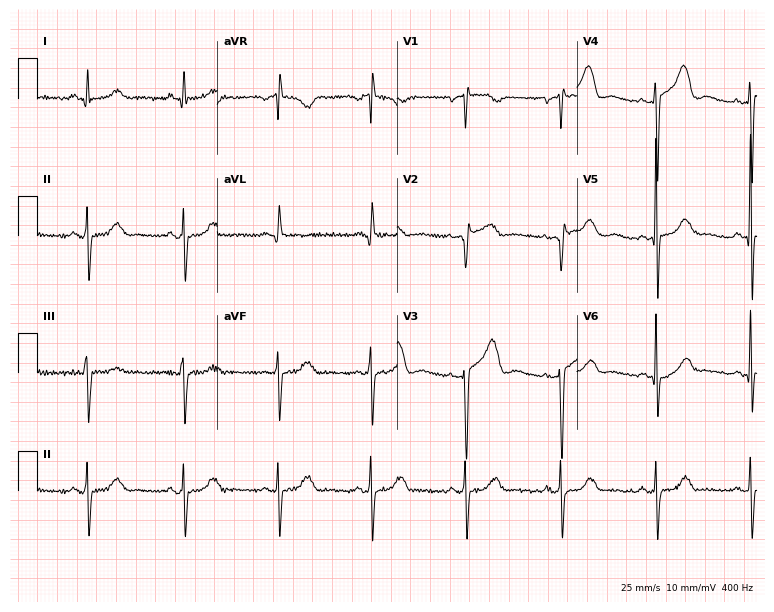
Electrocardiogram (7.3-second recording at 400 Hz), a female patient, 45 years old. Of the six screened findings (first-degree AV block, right bundle branch block (RBBB), left bundle branch block (LBBB), sinus bradycardia, atrial fibrillation (AF), sinus tachycardia), none is recorded. Other findings, if any, are not listed.